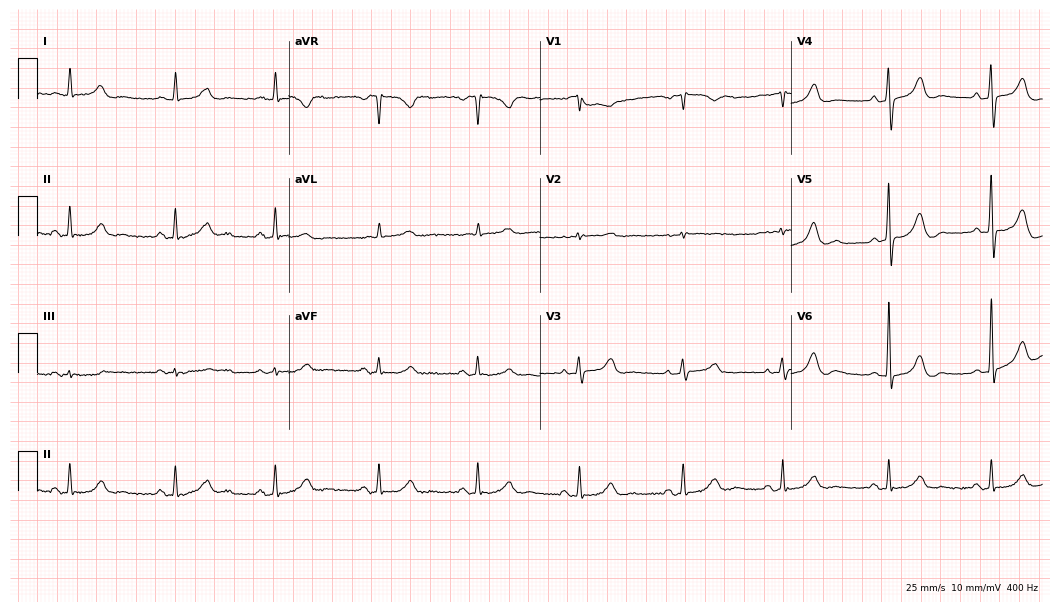
Electrocardiogram (10.2-second recording at 400 Hz), an 82-year-old woman. Overall reading on record: normal ECG.